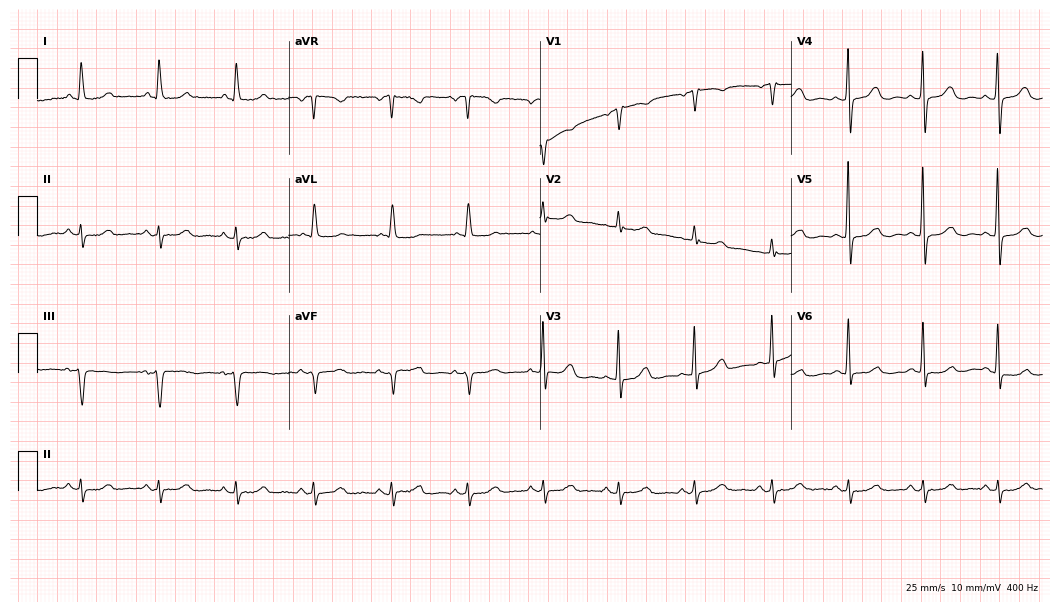
Standard 12-lead ECG recorded from a female, 72 years old (10.2-second recording at 400 Hz). None of these six findings is recorded: first-degree AV block, right bundle branch block, left bundle branch block, sinus bradycardia, atrial fibrillation, sinus tachycardia.